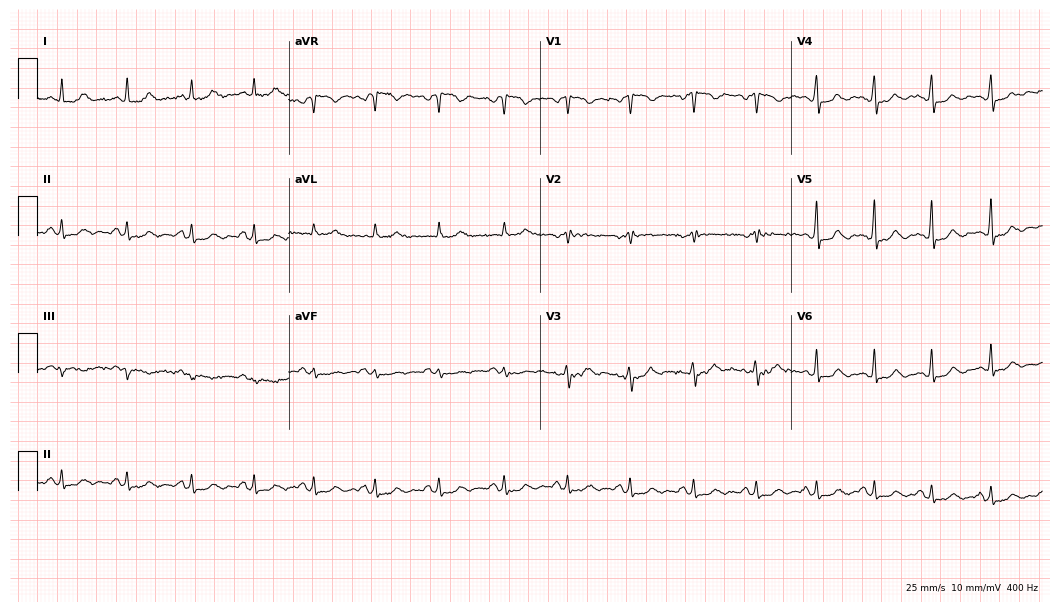
ECG — a female patient, 45 years old. Screened for six findings — first-degree AV block, right bundle branch block, left bundle branch block, sinus bradycardia, atrial fibrillation, sinus tachycardia — none is recorded.